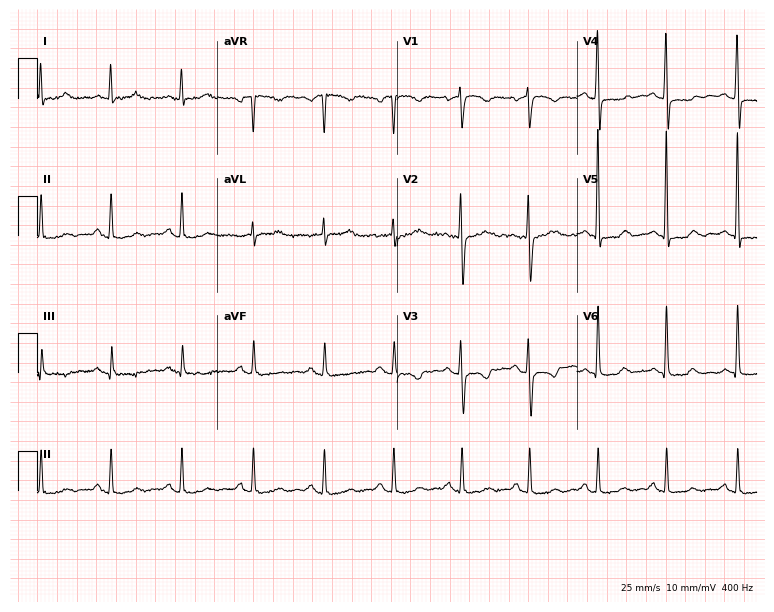
12-lead ECG (7.3-second recording at 400 Hz) from a 54-year-old female. Screened for six findings — first-degree AV block, right bundle branch block, left bundle branch block, sinus bradycardia, atrial fibrillation, sinus tachycardia — none is recorded.